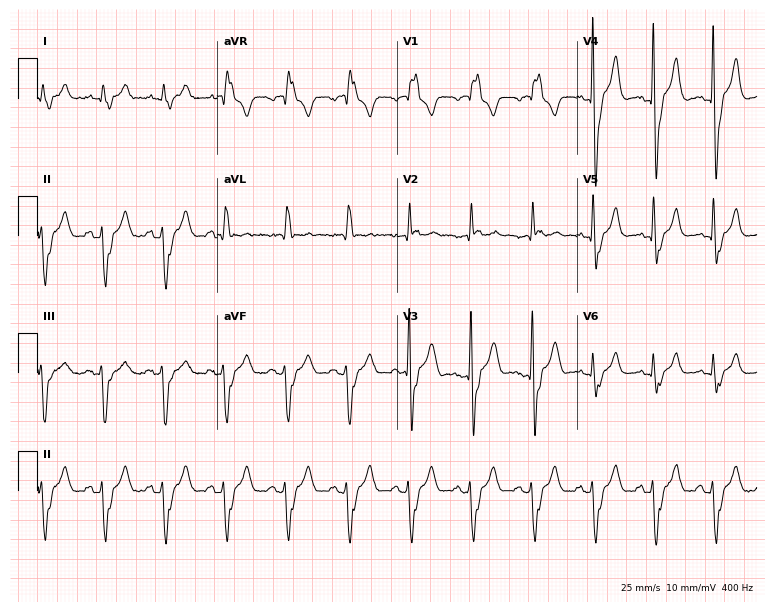
ECG (7.3-second recording at 400 Hz) — a male patient, 49 years old. Findings include right bundle branch block.